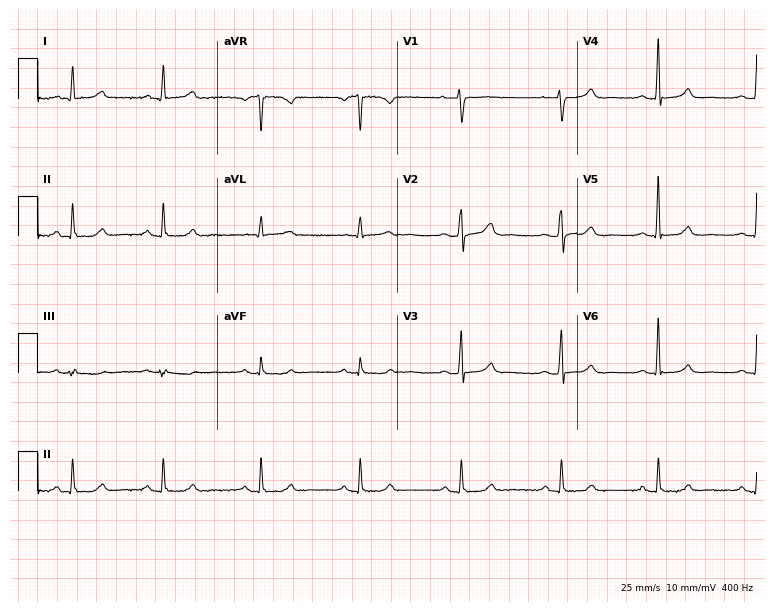
Standard 12-lead ECG recorded from a 49-year-old woman. None of these six findings is recorded: first-degree AV block, right bundle branch block (RBBB), left bundle branch block (LBBB), sinus bradycardia, atrial fibrillation (AF), sinus tachycardia.